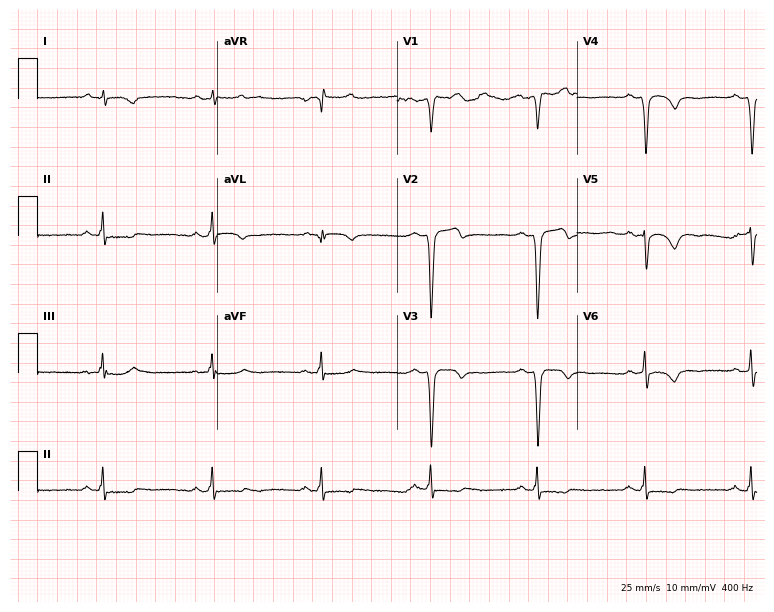
Resting 12-lead electrocardiogram (7.3-second recording at 400 Hz). Patient: a male, 47 years old. None of these six findings is recorded: first-degree AV block, right bundle branch block, left bundle branch block, sinus bradycardia, atrial fibrillation, sinus tachycardia.